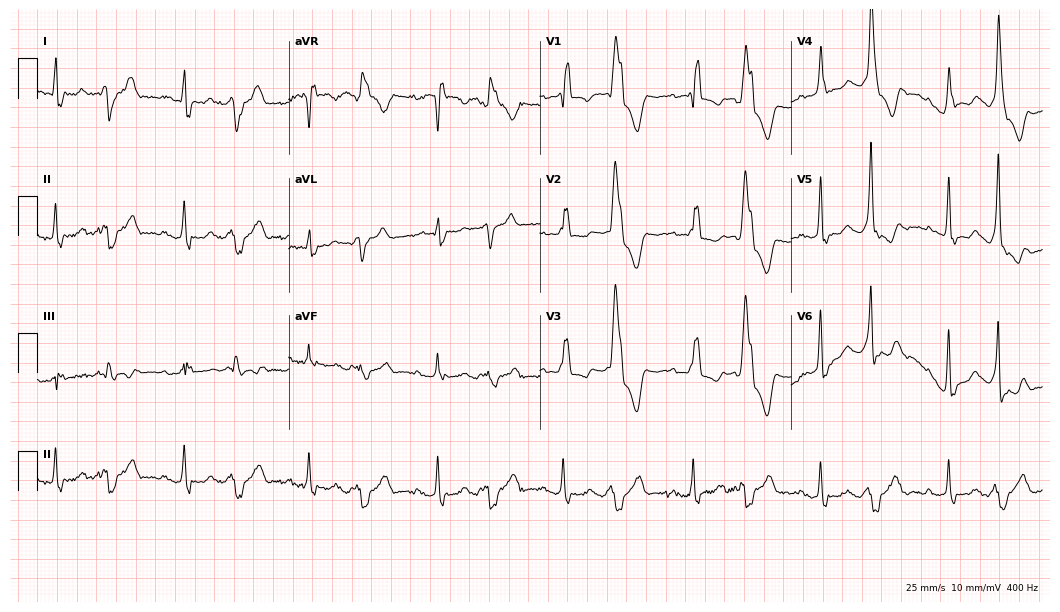
Resting 12-lead electrocardiogram. Patient: a 62-year-old female. The tracing shows right bundle branch block (RBBB).